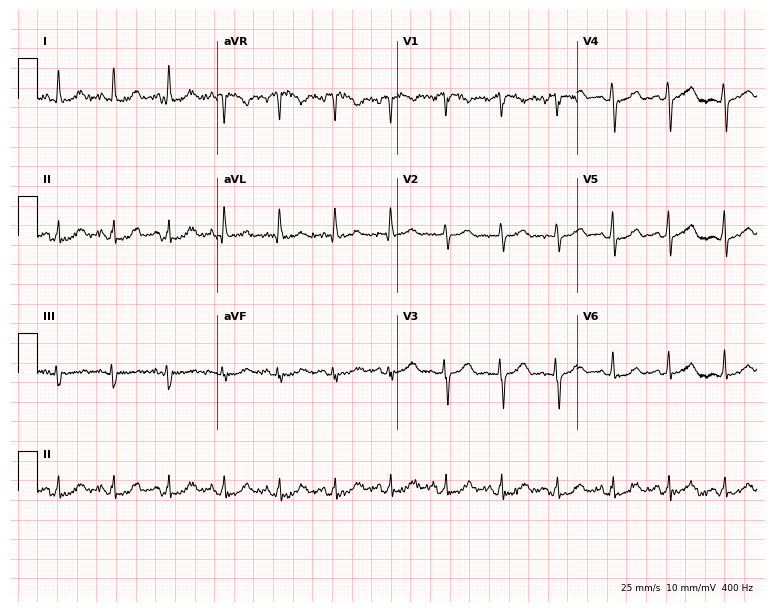
ECG — a female, 71 years old. Screened for six findings — first-degree AV block, right bundle branch block, left bundle branch block, sinus bradycardia, atrial fibrillation, sinus tachycardia — none is recorded.